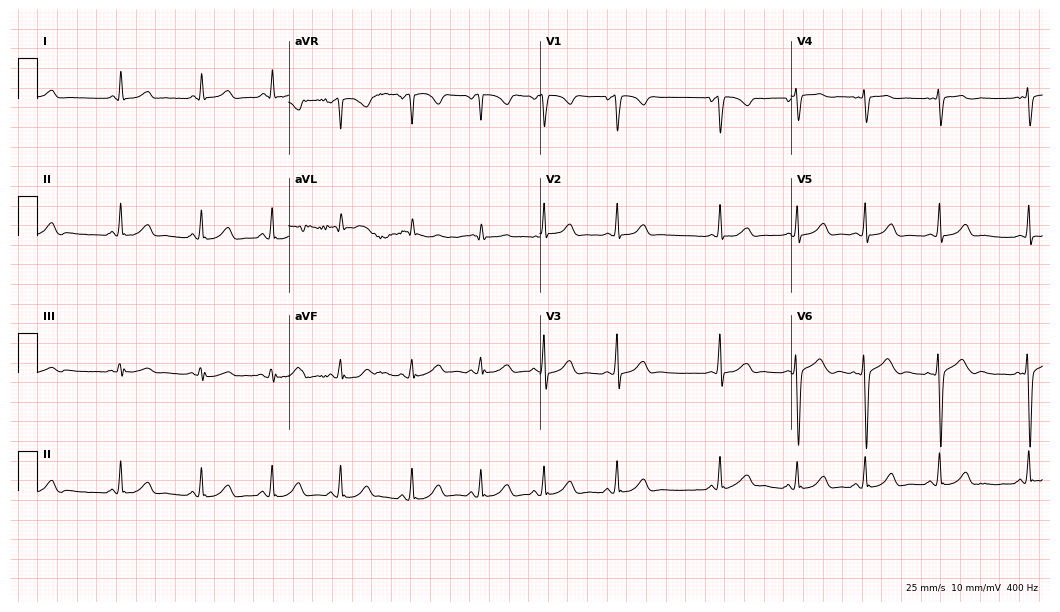
ECG (10.2-second recording at 400 Hz) — a 21-year-old female patient. Labelled as a normal ECG.